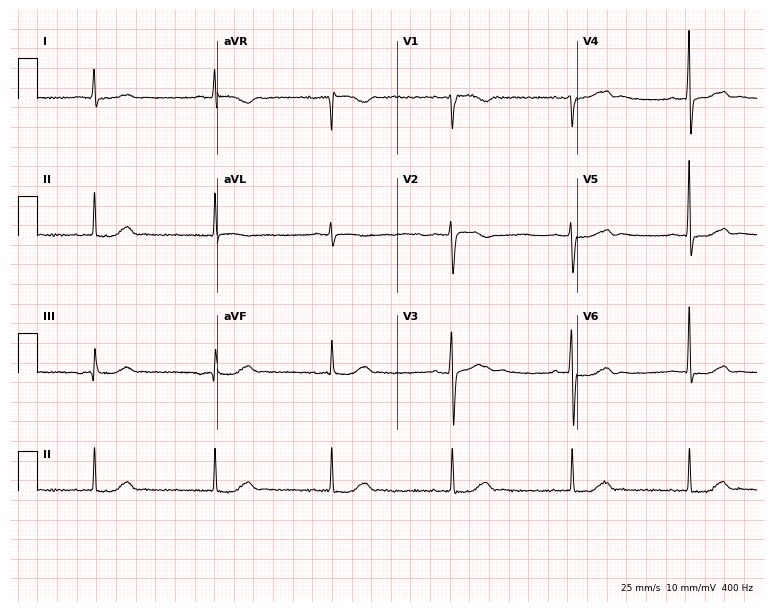
12-lead ECG from a 79-year-old male patient. Recorded interpretation: within normal limits.